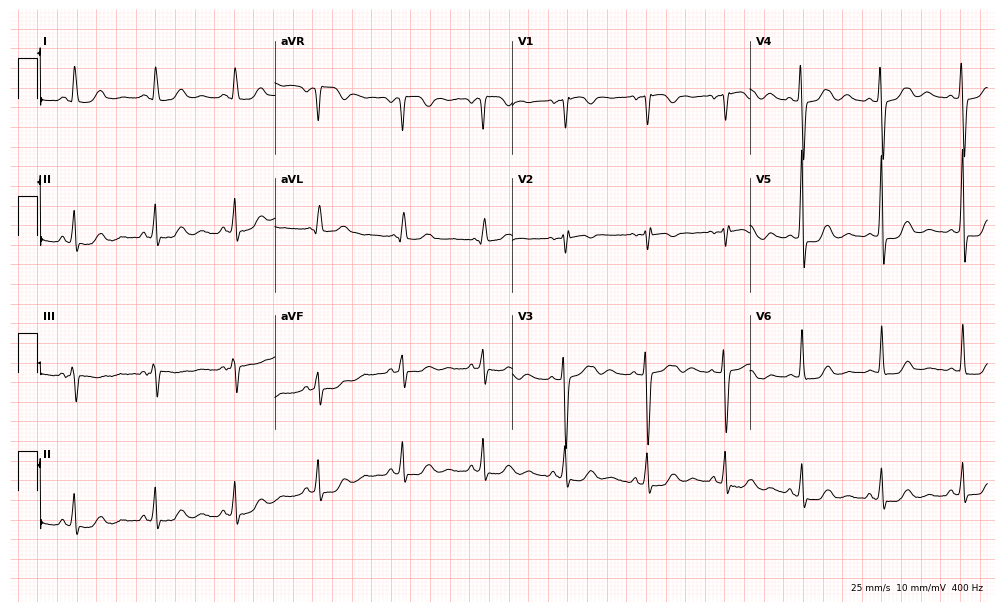
12-lead ECG from a 40-year-old female (9.7-second recording at 400 Hz). No first-degree AV block, right bundle branch block, left bundle branch block, sinus bradycardia, atrial fibrillation or sinus tachycardia recorded for this tracing.